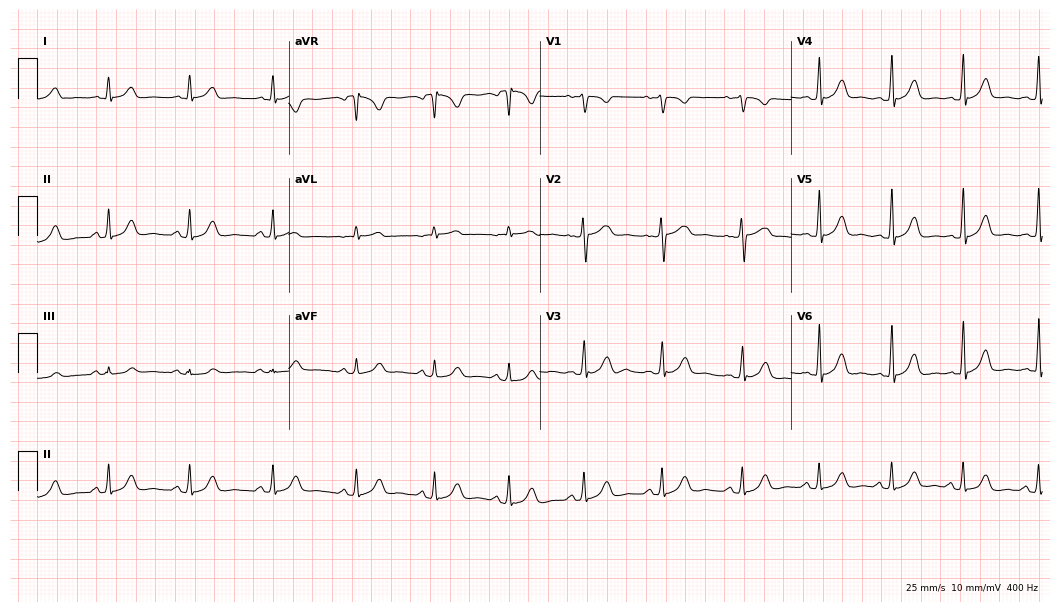
ECG — a 33-year-old female patient. Labelled as a normal ECG.